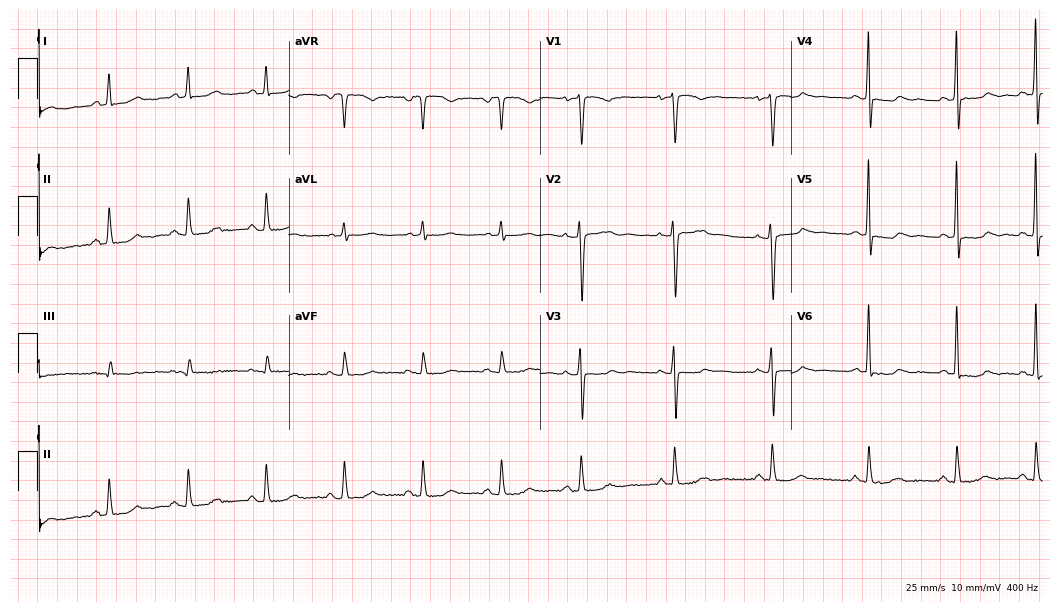
Standard 12-lead ECG recorded from a female patient, 70 years old. None of these six findings is recorded: first-degree AV block, right bundle branch block, left bundle branch block, sinus bradycardia, atrial fibrillation, sinus tachycardia. Findings outside these six are not listed.